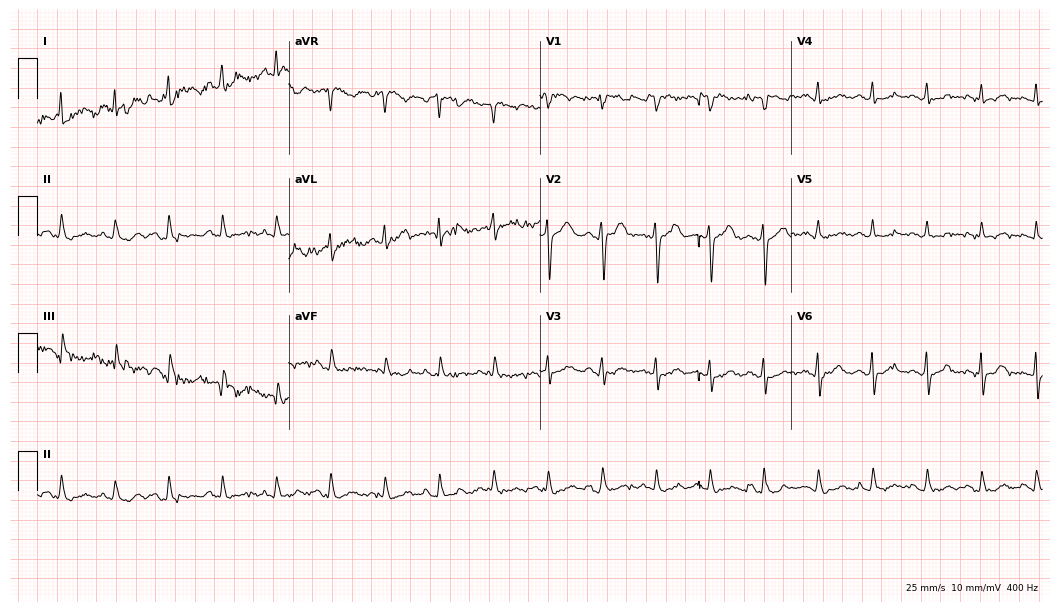
ECG (10.2-second recording at 400 Hz) — a female, 52 years old. Screened for six findings — first-degree AV block, right bundle branch block, left bundle branch block, sinus bradycardia, atrial fibrillation, sinus tachycardia — none is recorded. Other findings, if any, are not listed.